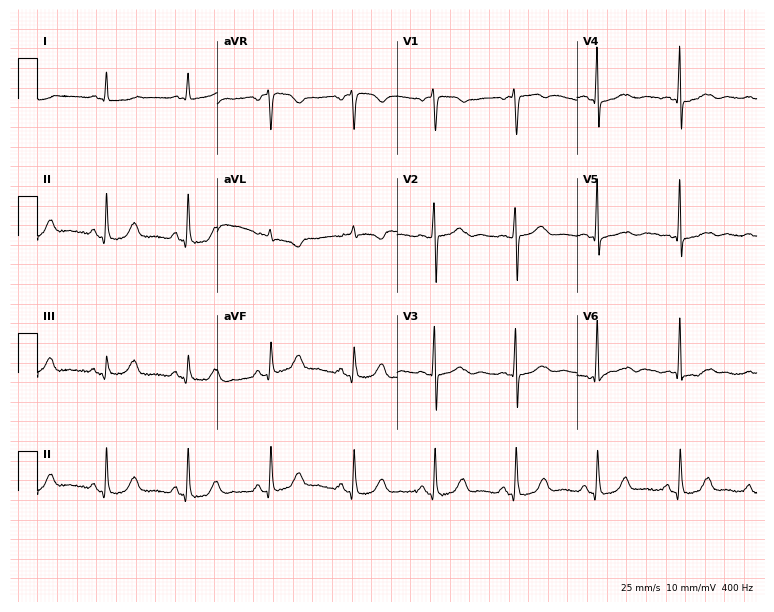
Electrocardiogram, a female, 62 years old. Of the six screened findings (first-degree AV block, right bundle branch block, left bundle branch block, sinus bradycardia, atrial fibrillation, sinus tachycardia), none is recorded. Only these six findings were labelled.